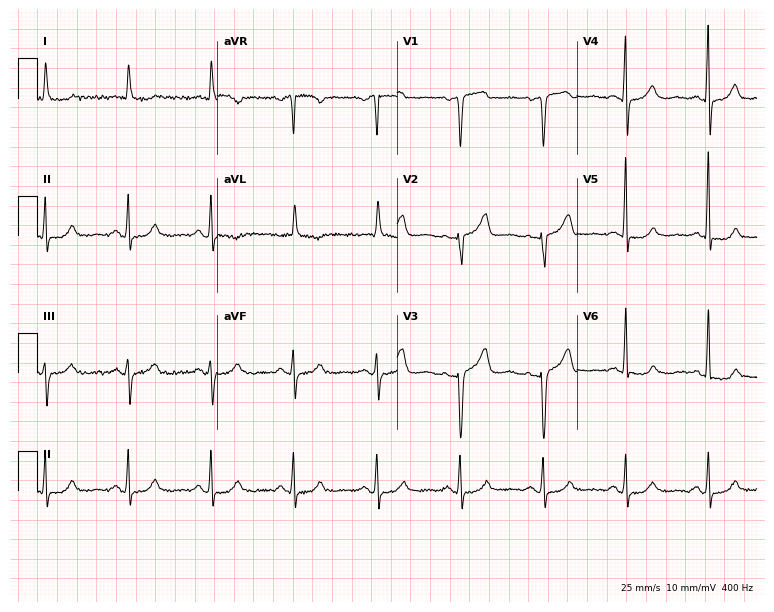
Electrocardiogram, a female patient, 70 years old. Overall reading on record: normal ECG.